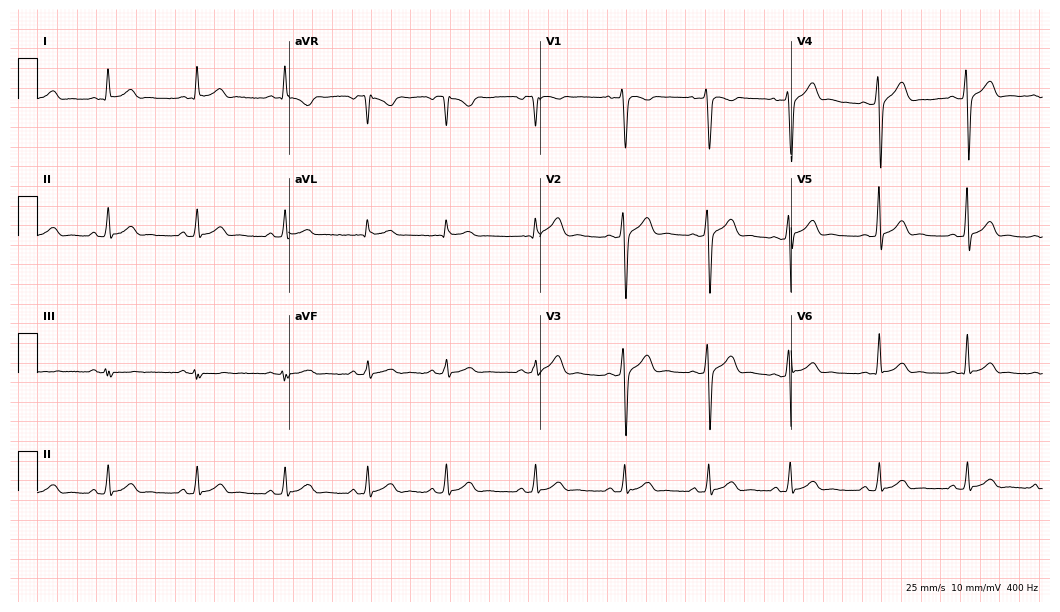
ECG (10.2-second recording at 400 Hz) — a man, 26 years old. Labelled as a normal ECG.